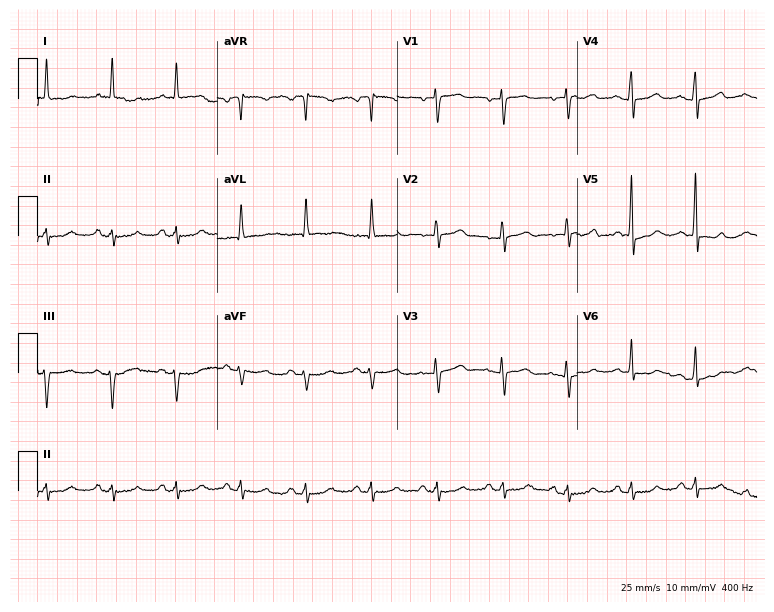
Standard 12-lead ECG recorded from a female, 72 years old (7.3-second recording at 400 Hz). Read as a normal ECG.